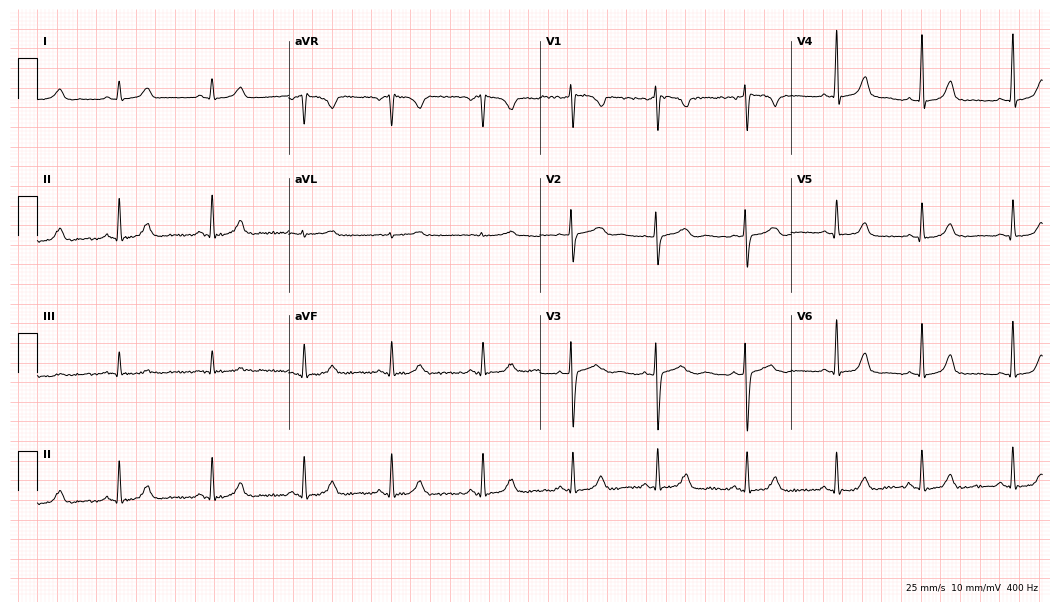
Standard 12-lead ECG recorded from a female, 33 years old (10.2-second recording at 400 Hz). Read as a normal ECG.